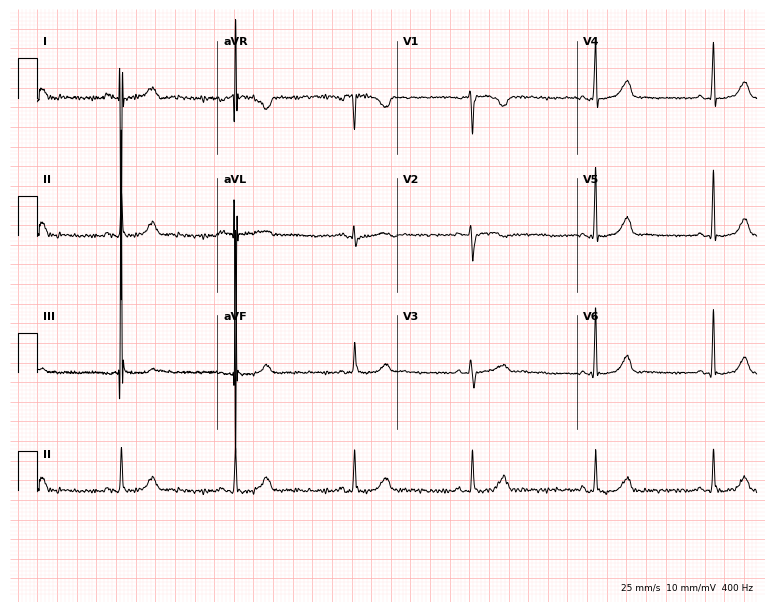
ECG (7.3-second recording at 400 Hz) — a woman, 37 years old. Labelled as a normal ECG.